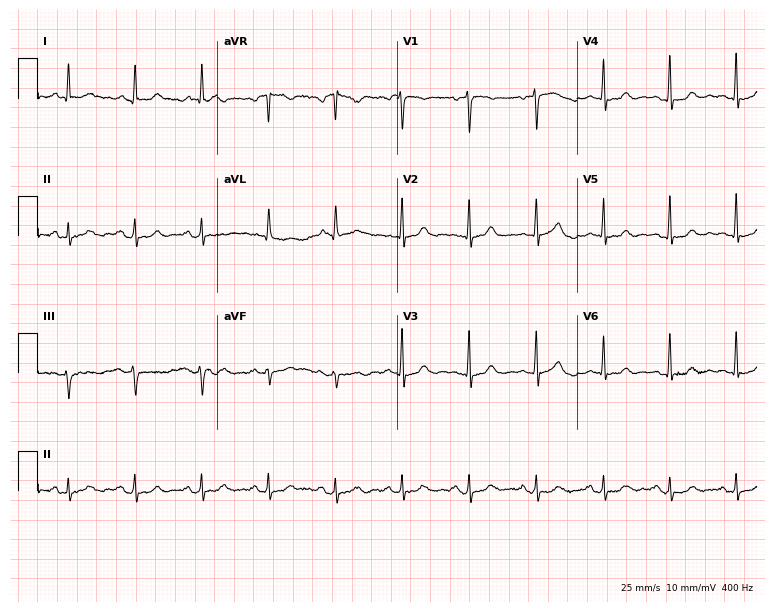
Electrocardiogram, a female, 57 years old. Of the six screened findings (first-degree AV block, right bundle branch block (RBBB), left bundle branch block (LBBB), sinus bradycardia, atrial fibrillation (AF), sinus tachycardia), none is recorded. Findings outside these six are not listed.